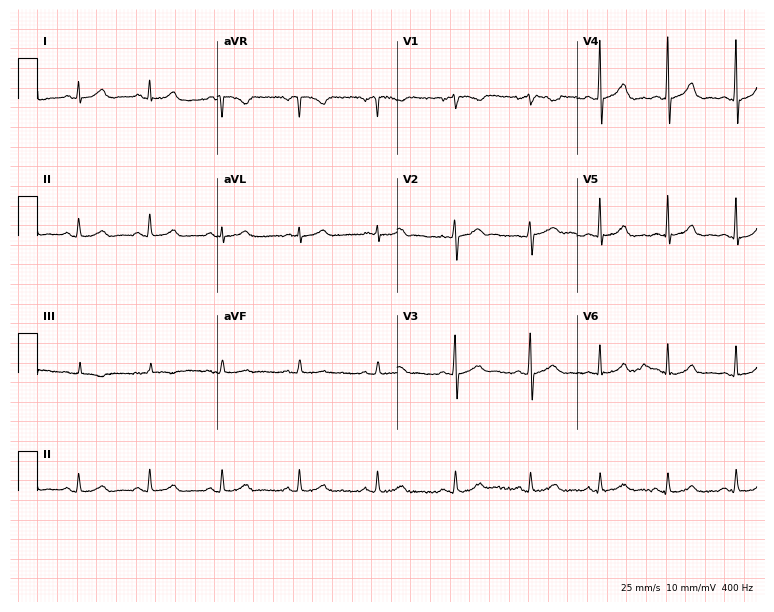
ECG — a 36-year-old female. Labelled as a normal ECG.